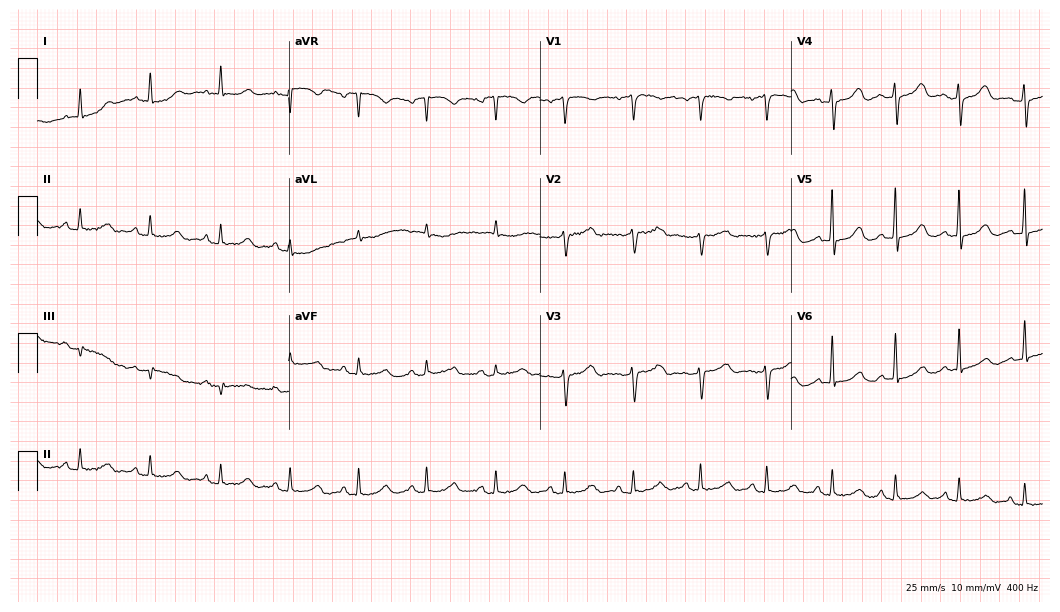
Standard 12-lead ECG recorded from a woman, 85 years old. None of these six findings is recorded: first-degree AV block, right bundle branch block, left bundle branch block, sinus bradycardia, atrial fibrillation, sinus tachycardia.